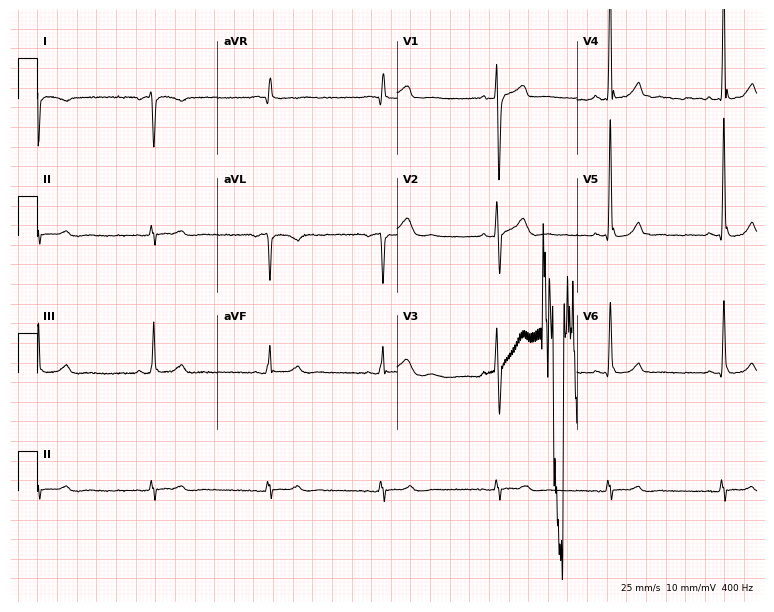
Electrocardiogram (7.3-second recording at 400 Hz), a male, 61 years old. Of the six screened findings (first-degree AV block, right bundle branch block, left bundle branch block, sinus bradycardia, atrial fibrillation, sinus tachycardia), none is recorded. Findings outside these six are not listed.